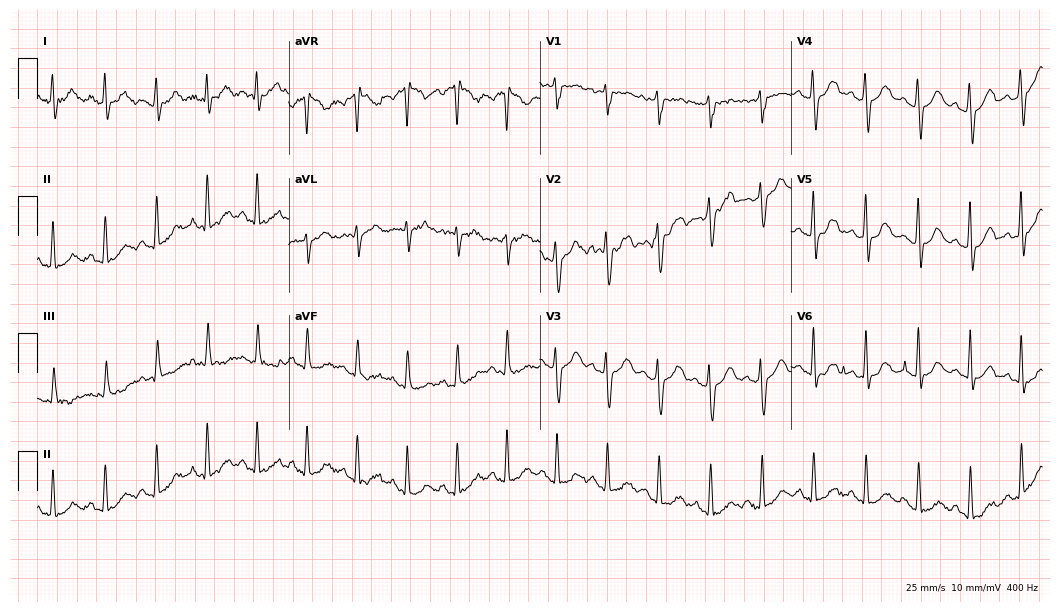
ECG — a female, 35 years old. Findings include sinus tachycardia (a sinus rate of 100 beats per minute or more).